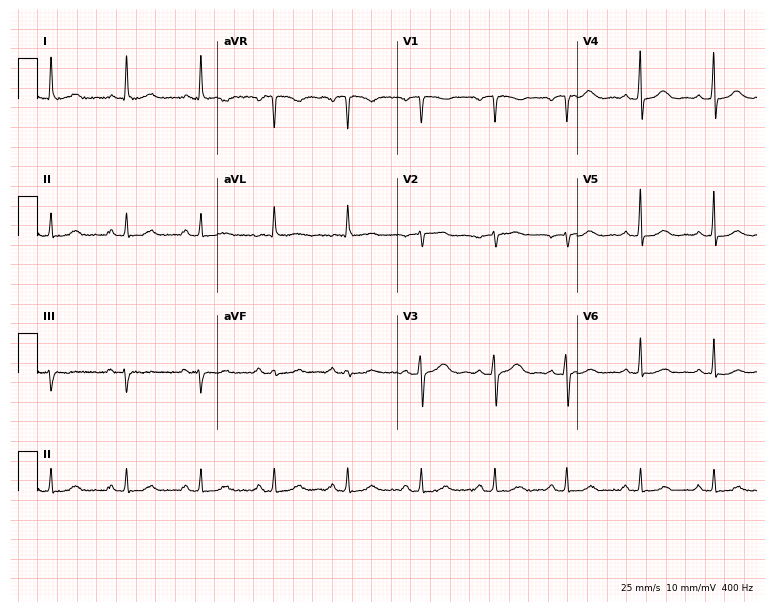
ECG — a female, 61 years old. Labelled as a normal ECG.